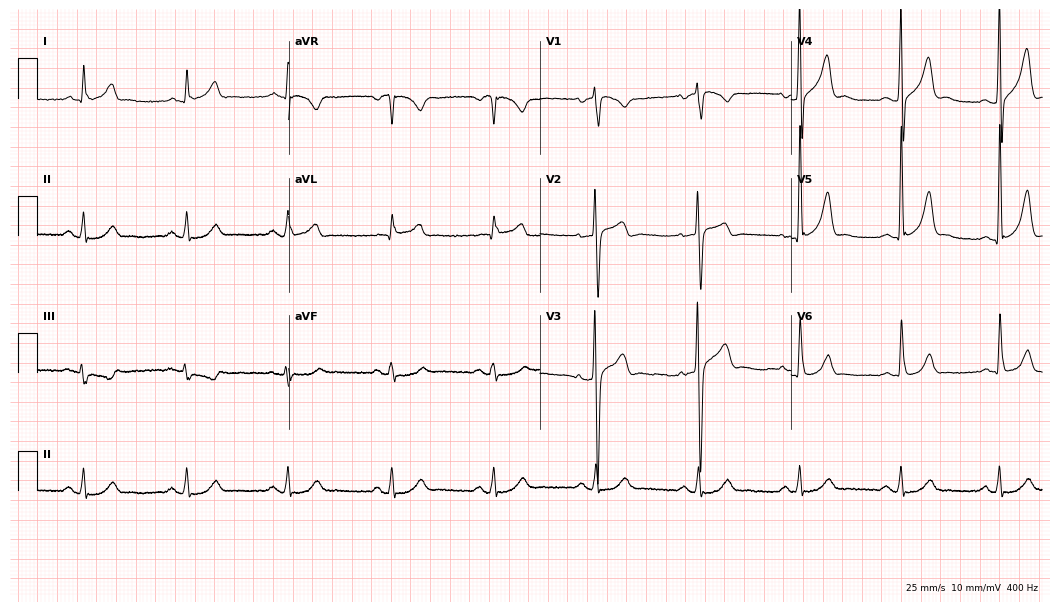
12-lead ECG from a 73-year-old man (10.2-second recording at 400 Hz). Recorded interpretation: within normal limits.